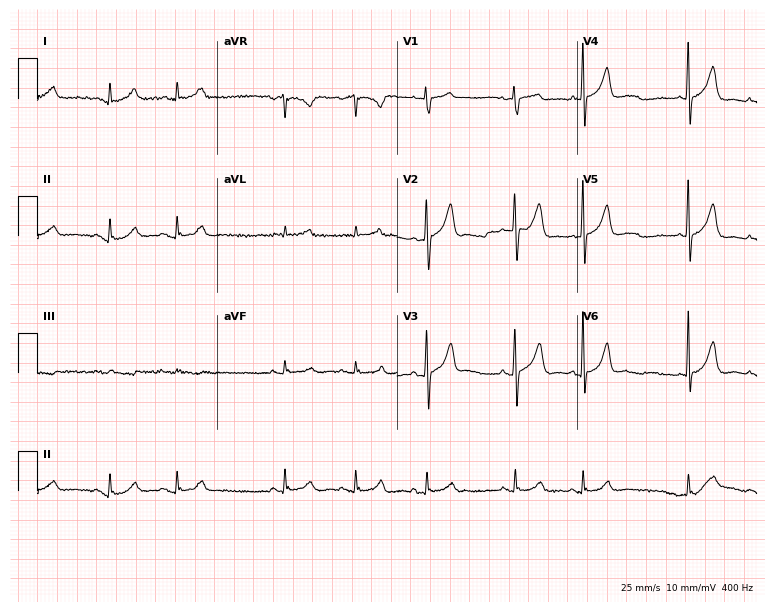
Electrocardiogram (7.3-second recording at 400 Hz), a male, 76 years old. Overall reading on record: normal ECG.